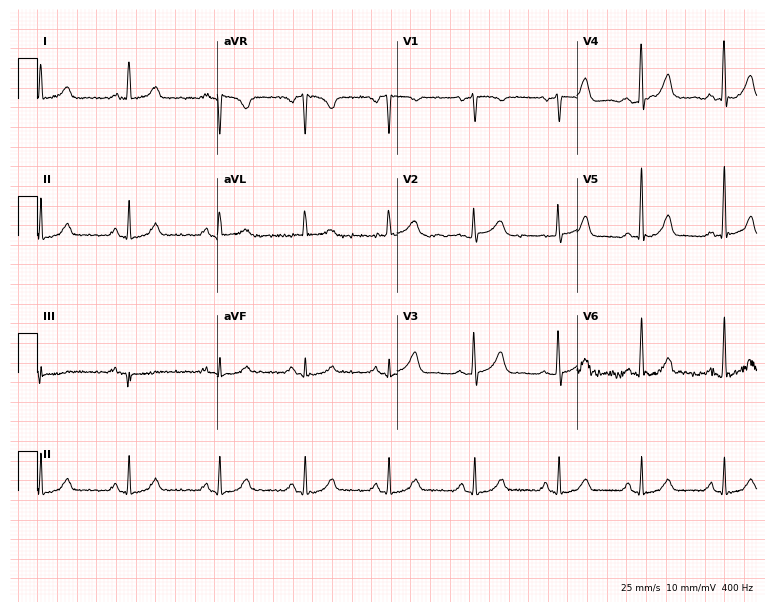
12-lead ECG (7.3-second recording at 400 Hz) from a 75-year-old woman. Screened for six findings — first-degree AV block, right bundle branch block, left bundle branch block, sinus bradycardia, atrial fibrillation, sinus tachycardia — none is recorded.